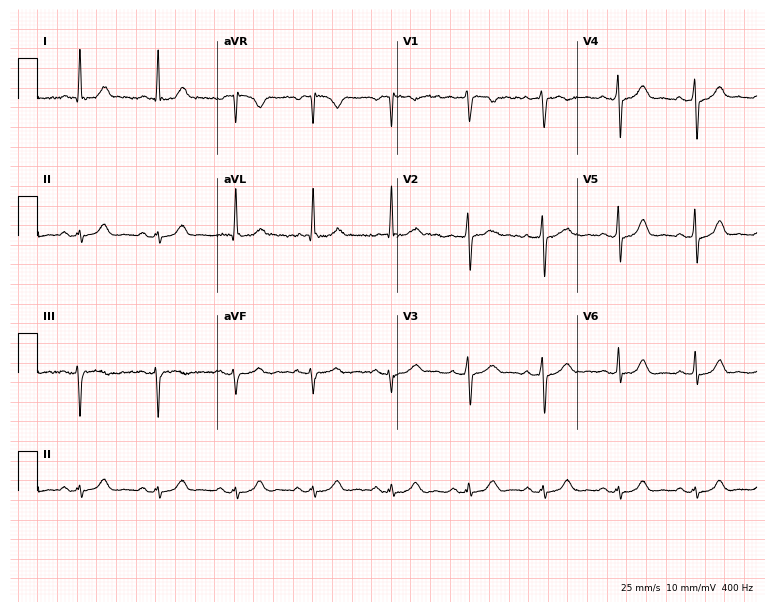
12-lead ECG from a male, 81 years old. Recorded interpretation: within normal limits.